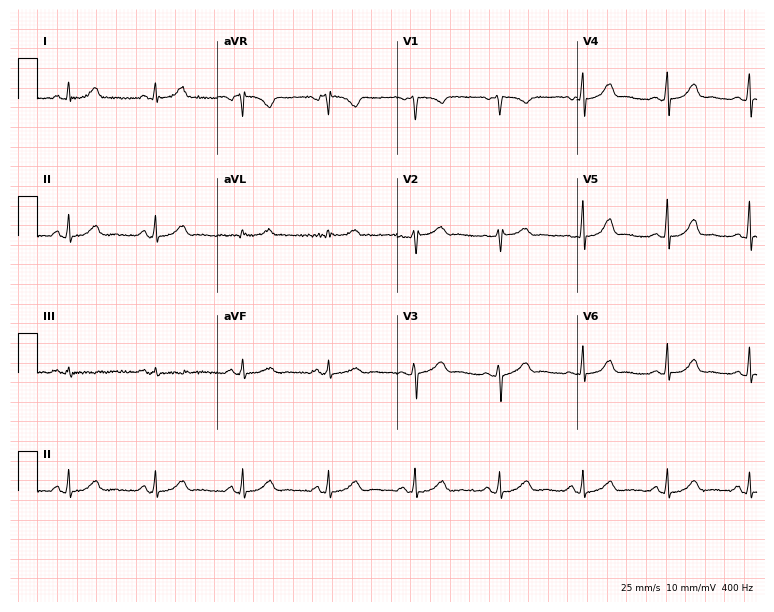
ECG — a 56-year-old female. Screened for six findings — first-degree AV block, right bundle branch block, left bundle branch block, sinus bradycardia, atrial fibrillation, sinus tachycardia — none is recorded. Other findings, if any, are not listed.